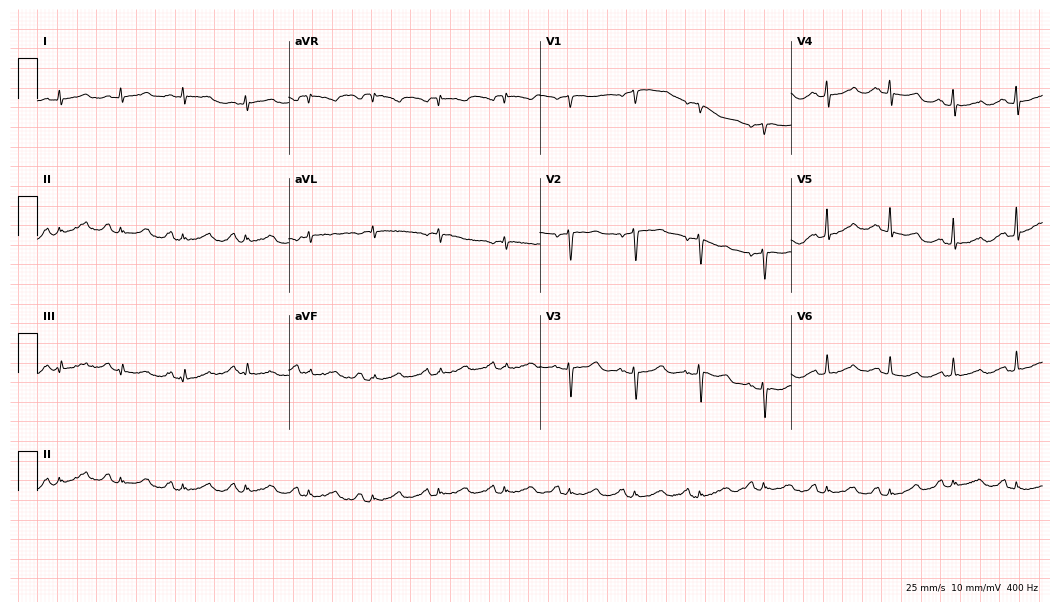
12-lead ECG from a female, 48 years old. Screened for six findings — first-degree AV block, right bundle branch block, left bundle branch block, sinus bradycardia, atrial fibrillation, sinus tachycardia — none is recorded.